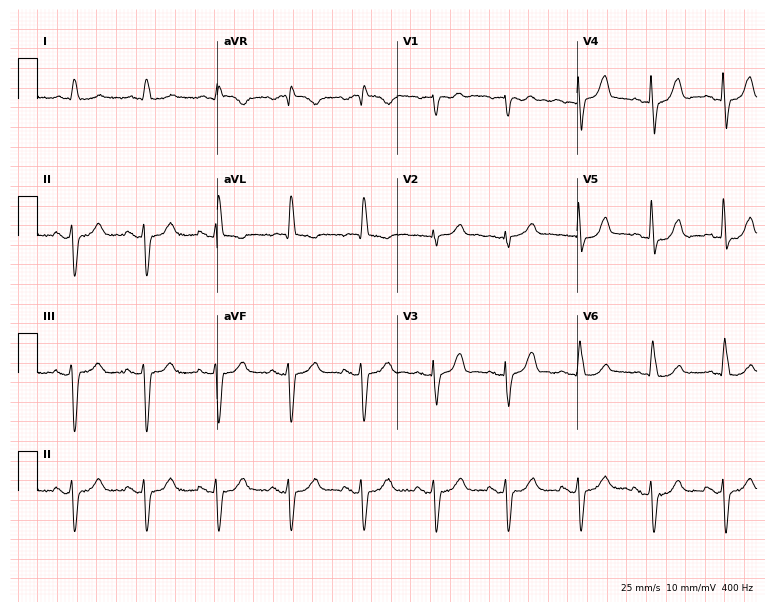
ECG — an 83-year-old male. Screened for six findings — first-degree AV block, right bundle branch block (RBBB), left bundle branch block (LBBB), sinus bradycardia, atrial fibrillation (AF), sinus tachycardia — none is recorded. Other findings, if any, are not listed.